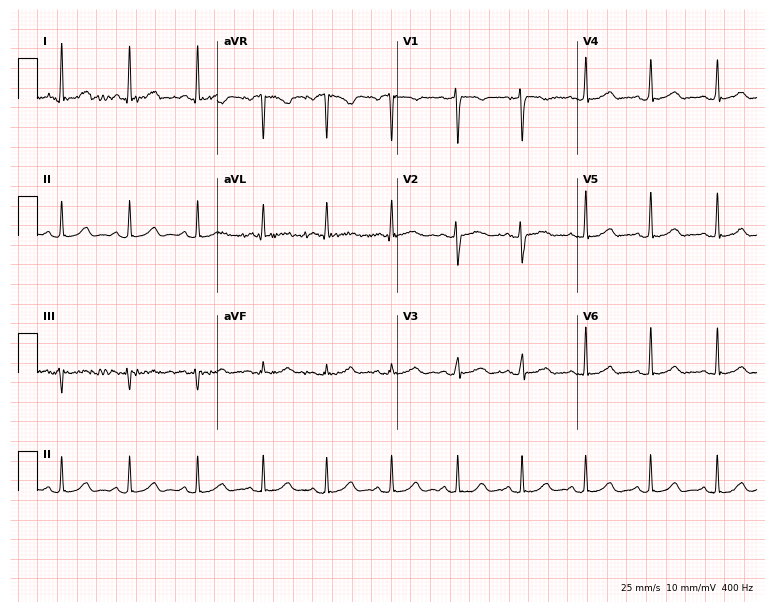
12-lead ECG from a female, 30 years old. Labelled as a normal ECG.